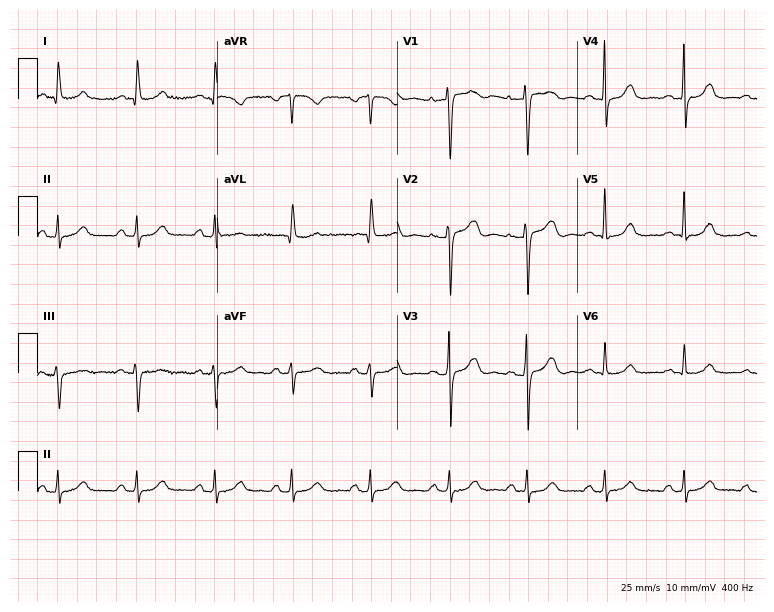
12-lead ECG from a 61-year-old woman. No first-degree AV block, right bundle branch block (RBBB), left bundle branch block (LBBB), sinus bradycardia, atrial fibrillation (AF) or sinus tachycardia recorded for this tracing.